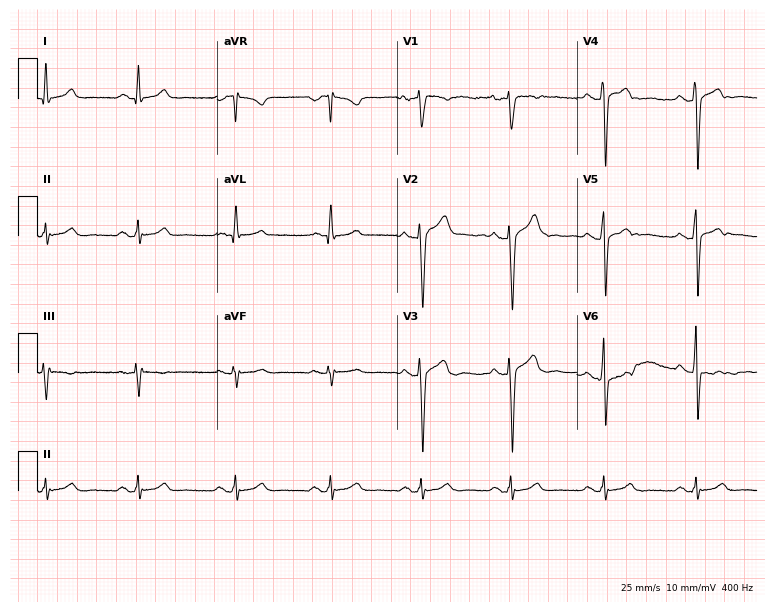
Electrocardiogram, a 17-year-old man. Overall reading on record: normal ECG.